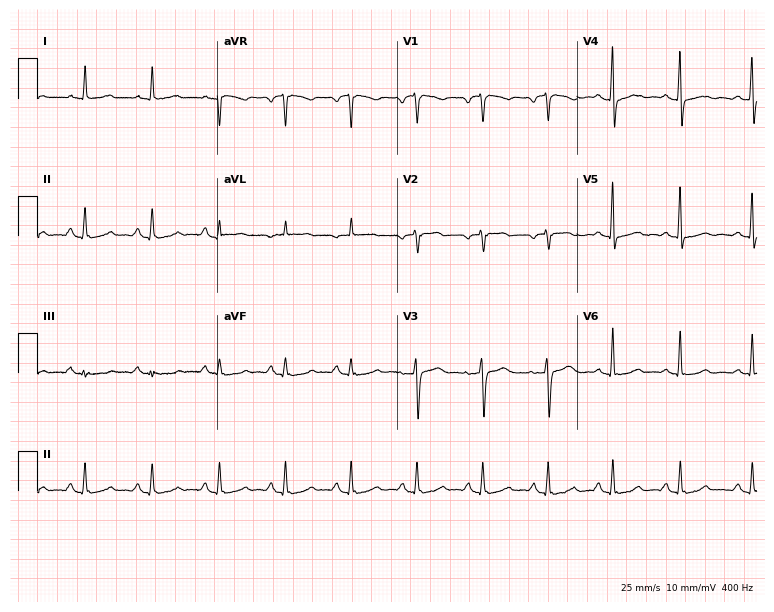
Standard 12-lead ECG recorded from a 54-year-old female patient. None of these six findings is recorded: first-degree AV block, right bundle branch block (RBBB), left bundle branch block (LBBB), sinus bradycardia, atrial fibrillation (AF), sinus tachycardia. Only these six findings were labelled.